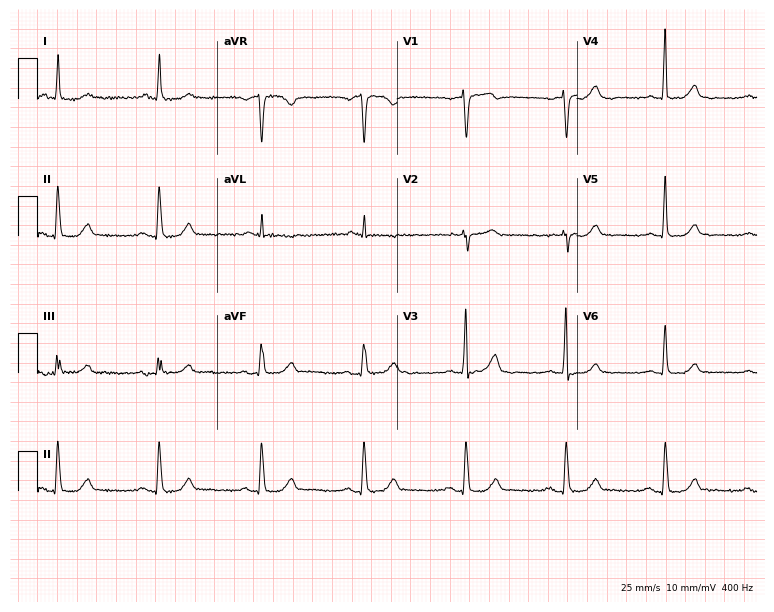
Electrocardiogram (7.3-second recording at 400 Hz), a woman, 74 years old. Of the six screened findings (first-degree AV block, right bundle branch block, left bundle branch block, sinus bradycardia, atrial fibrillation, sinus tachycardia), none is recorded.